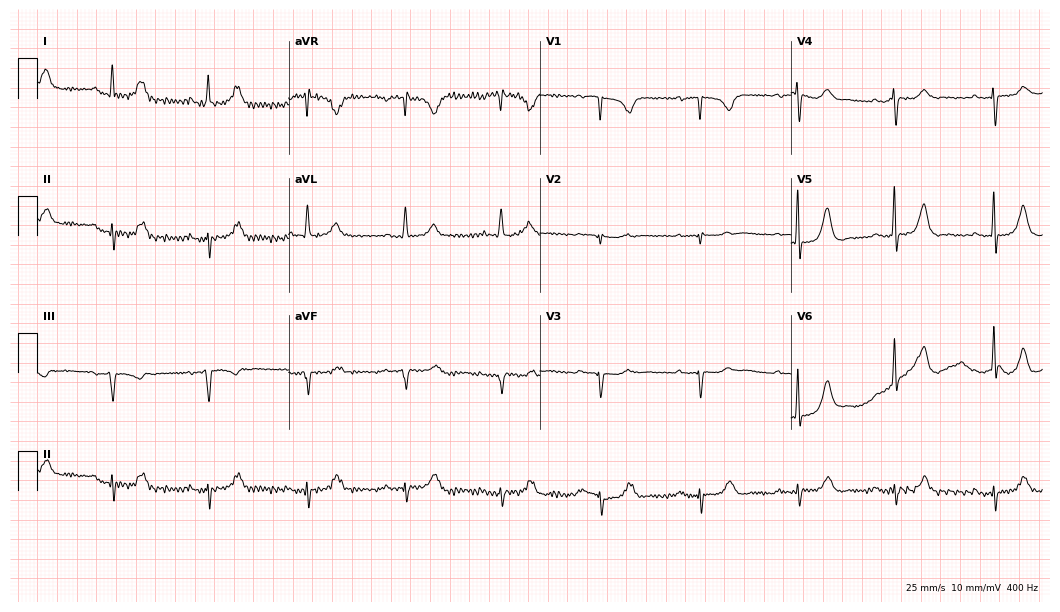
Resting 12-lead electrocardiogram. Patient: a 68-year-old woman. The tracing shows first-degree AV block.